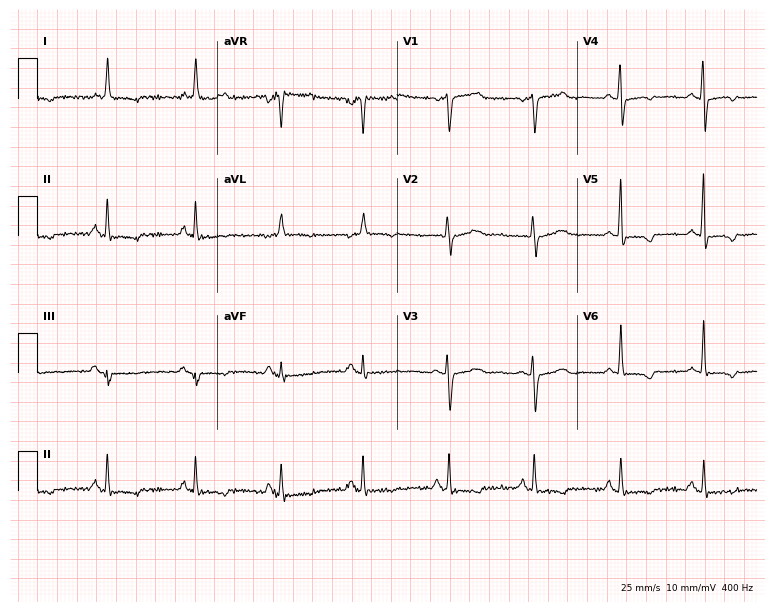
Resting 12-lead electrocardiogram (7.3-second recording at 400 Hz). Patient: a 77-year-old female. None of these six findings is recorded: first-degree AV block, right bundle branch block (RBBB), left bundle branch block (LBBB), sinus bradycardia, atrial fibrillation (AF), sinus tachycardia. Findings outside these six are not listed.